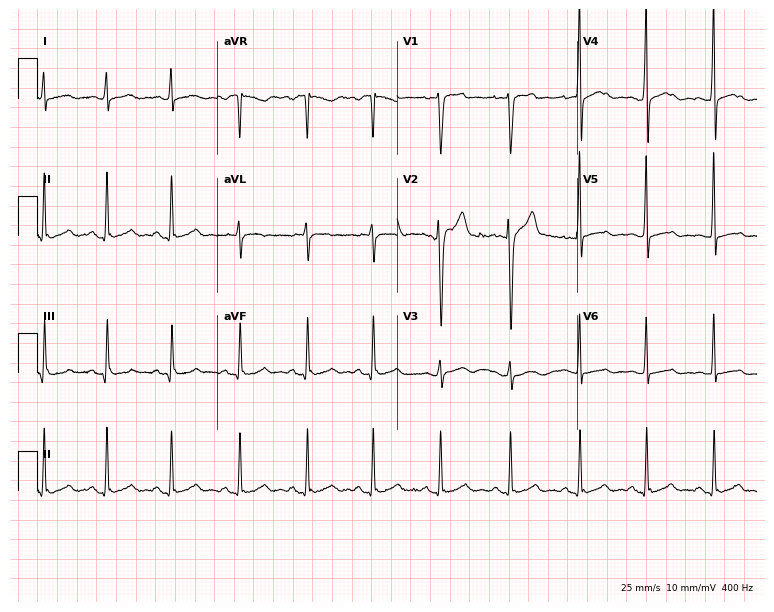
ECG — a 24-year-old man. Screened for six findings — first-degree AV block, right bundle branch block, left bundle branch block, sinus bradycardia, atrial fibrillation, sinus tachycardia — none is recorded. Only these six findings were labelled.